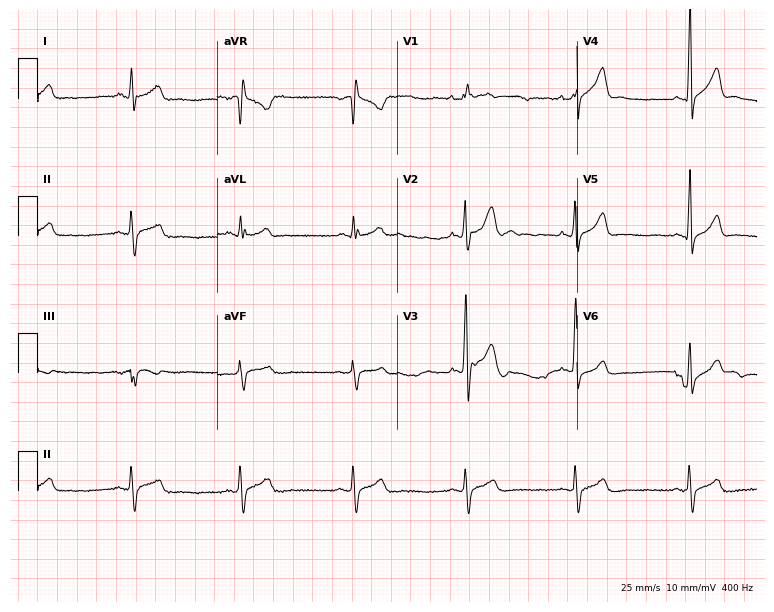
12-lead ECG from a man, 27 years old. No first-degree AV block, right bundle branch block, left bundle branch block, sinus bradycardia, atrial fibrillation or sinus tachycardia recorded for this tracing. Other findings, if any, are not listed.